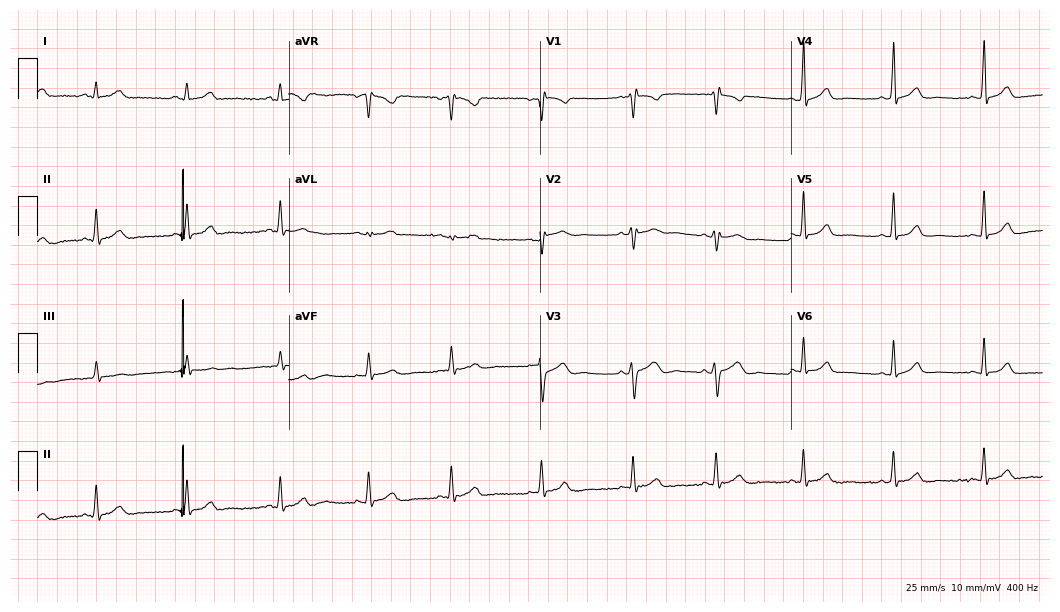
ECG — a 21-year-old woman. Labelled as a normal ECG.